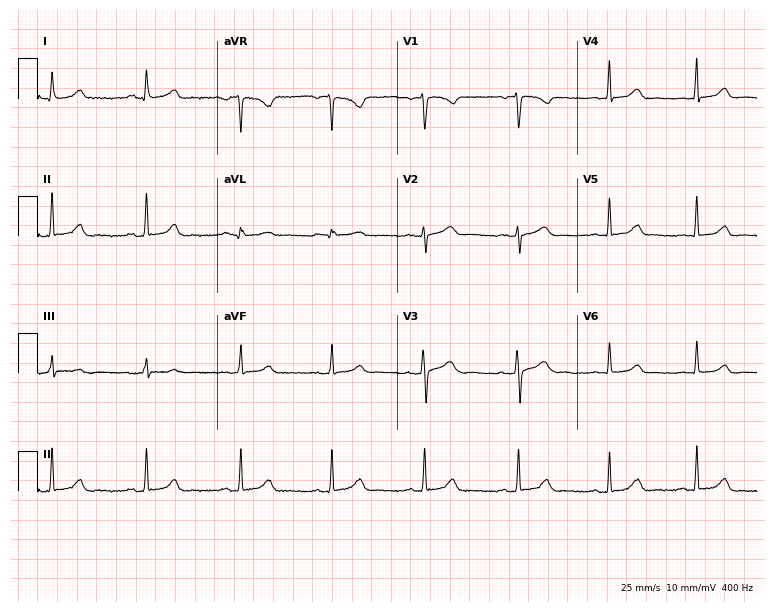
Electrocardiogram (7.3-second recording at 400 Hz), a female, 39 years old. Overall reading on record: normal ECG.